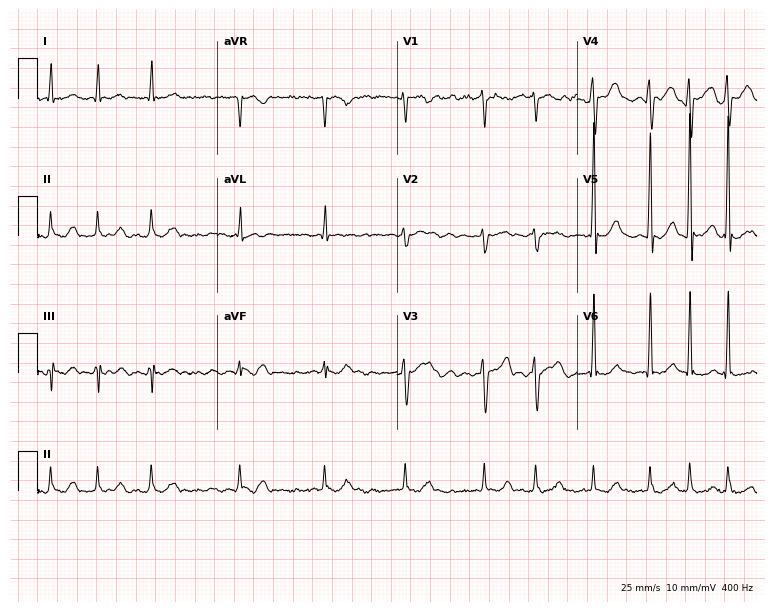
Resting 12-lead electrocardiogram (7.3-second recording at 400 Hz). Patient: a 68-year-old male. None of these six findings is recorded: first-degree AV block, right bundle branch block, left bundle branch block, sinus bradycardia, atrial fibrillation, sinus tachycardia.